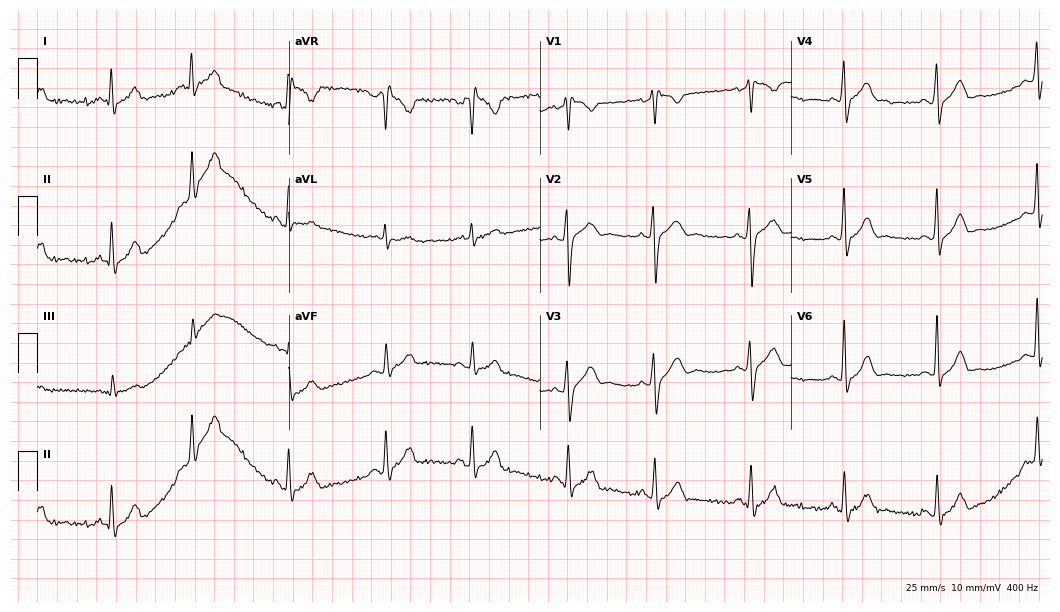
Electrocardiogram, a 21-year-old male. Of the six screened findings (first-degree AV block, right bundle branch block, left bundle branch block, sinus bradycardia, atrial fibrillation, sinus tachycardia), none is recorded.